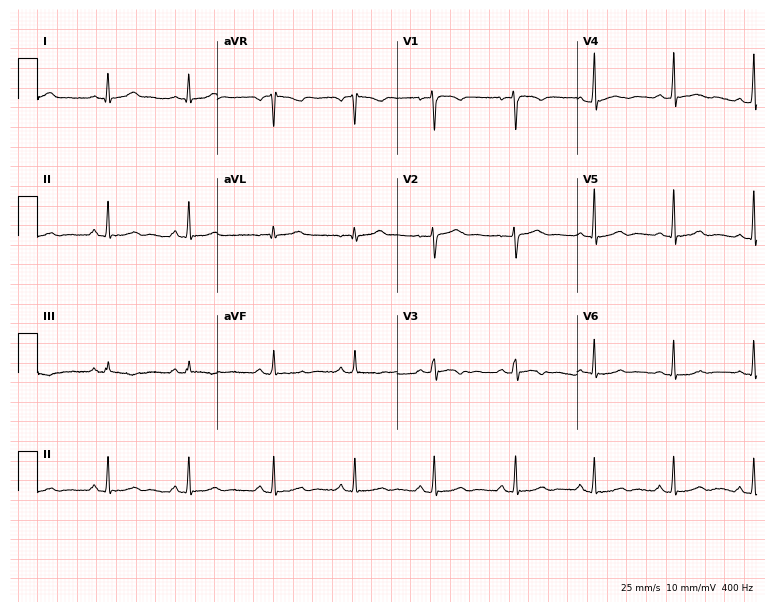
Resting 12-lead electrocardiogram. Patient: a 22-year-old woman. Read as a normal ECG.